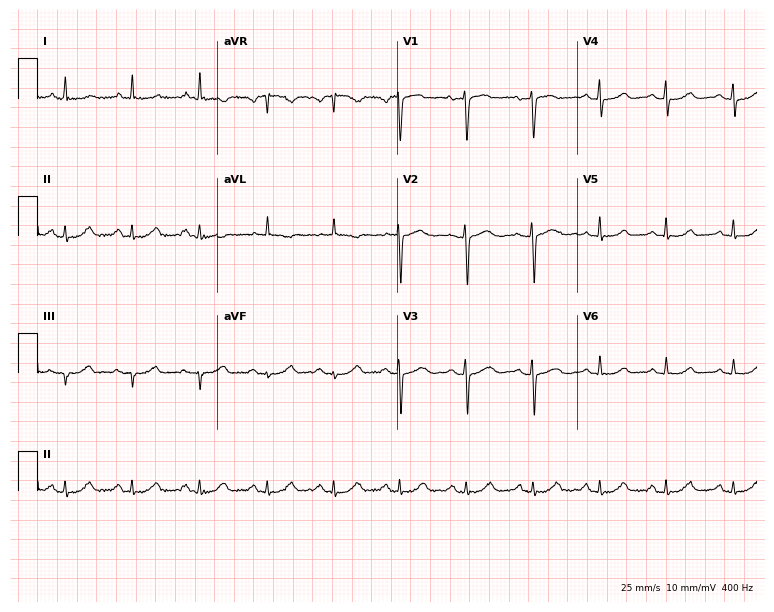
Resting 12-lead electrocardiogram. Patient: a female, 53 years old. None of these six findings is recorded: first-degree AV block, right bundle branch block (RBBB), left bundle branch block (LBBB), sinus bradycardia, atrial fibrillation (AF), sinus tachycardia. Findings outside these six are not listed.